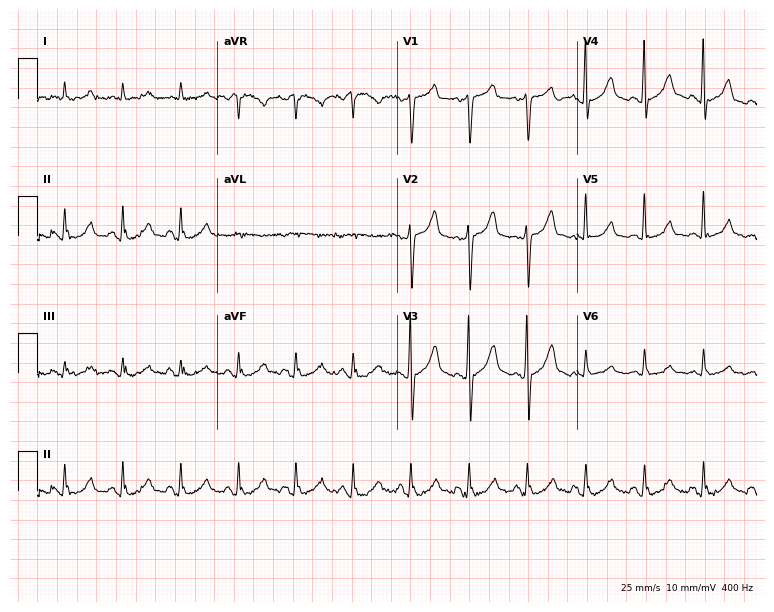
Electrocardiogram (7.3-second recording at 400 Hz), a 39-year-old male. Of the six screened findings (first-degree AV block, right bundle branch block, left bundle branch block, sinus bradycardia, atrial fibrillation, sinus tachycardia), none is recorded. Findings outside these six are not listed.